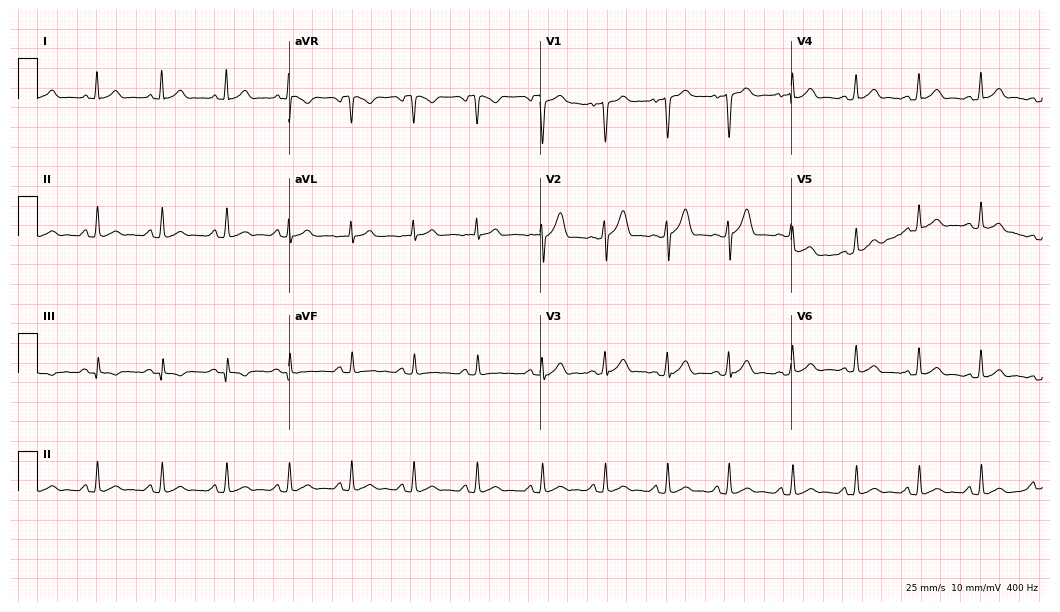
12-lead ECG from a 24-year-old male. Labelled as a normal ECG.